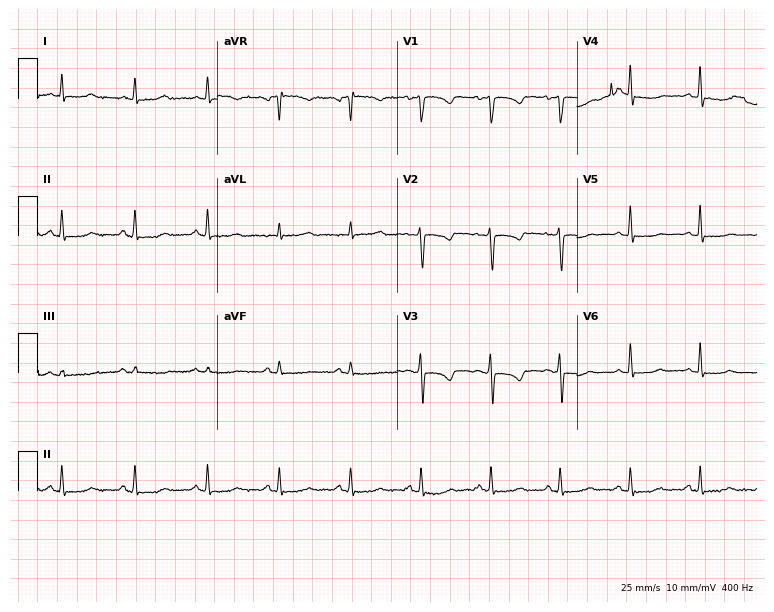
12-lead ECG from a 41-year-old woman. Labelled as a normal ECG.